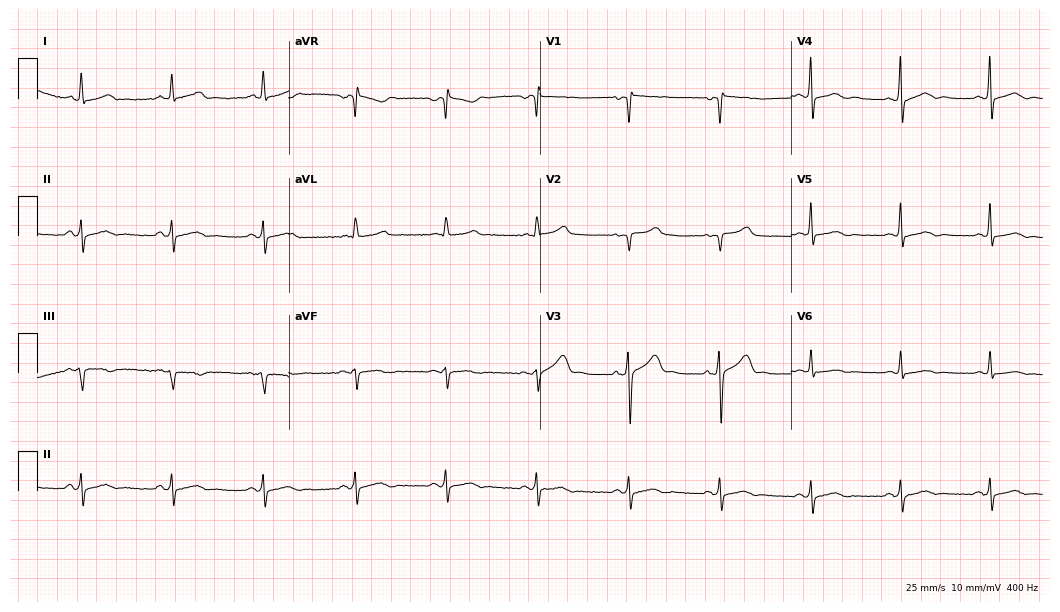
Resting 12-lead electrocardiogram. Patient: a male, 51 years old. None of these six findings is recorded: first-degree AV block, right bundle branch block, left bundle branch block, sinus bradycardia, atrial fibrillation, sinus tachycardia.